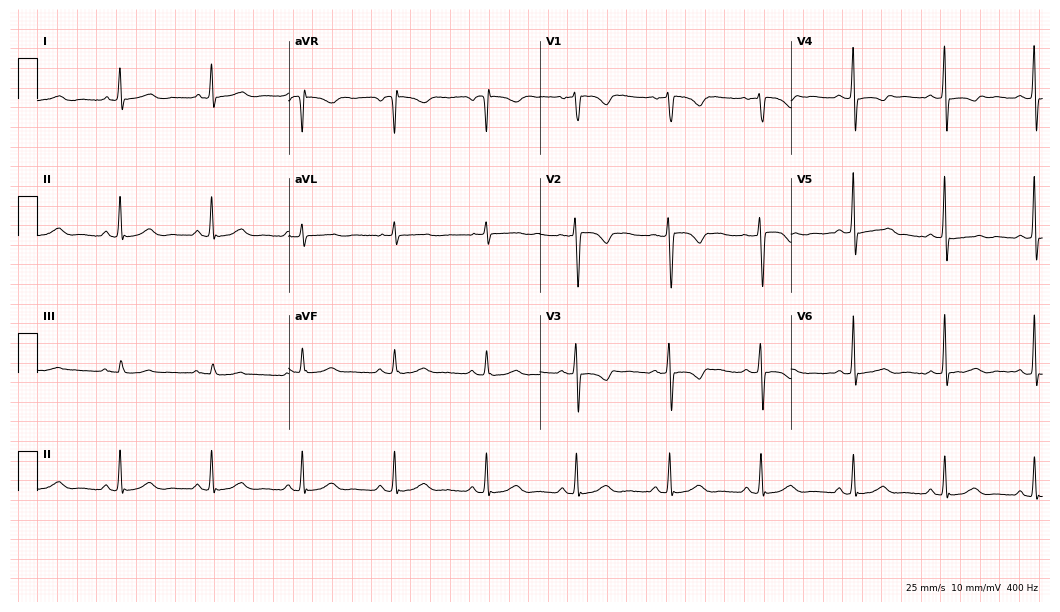
12-lead ECG (10.2-second recording at 400 Hz) from a female, 52 years old. Screened for six findings — first-degree AV block, right bundle branch block, left bundle branch block, sinus bradycardia, atrial fibrillation, sinus tachycardia — none is recorded. Other findings, if any, are not listed.